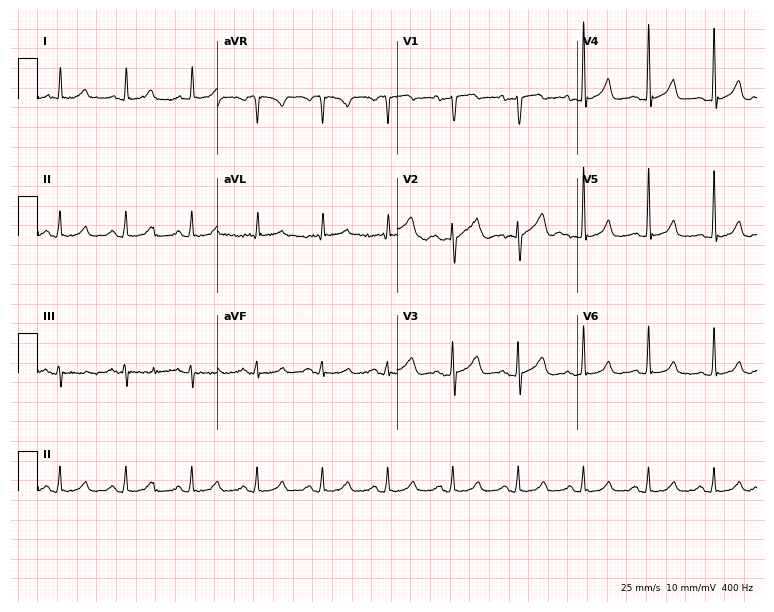
Standard 12-lead ECG recorded from an 80-year-old male patient. Read as a normal ECG.